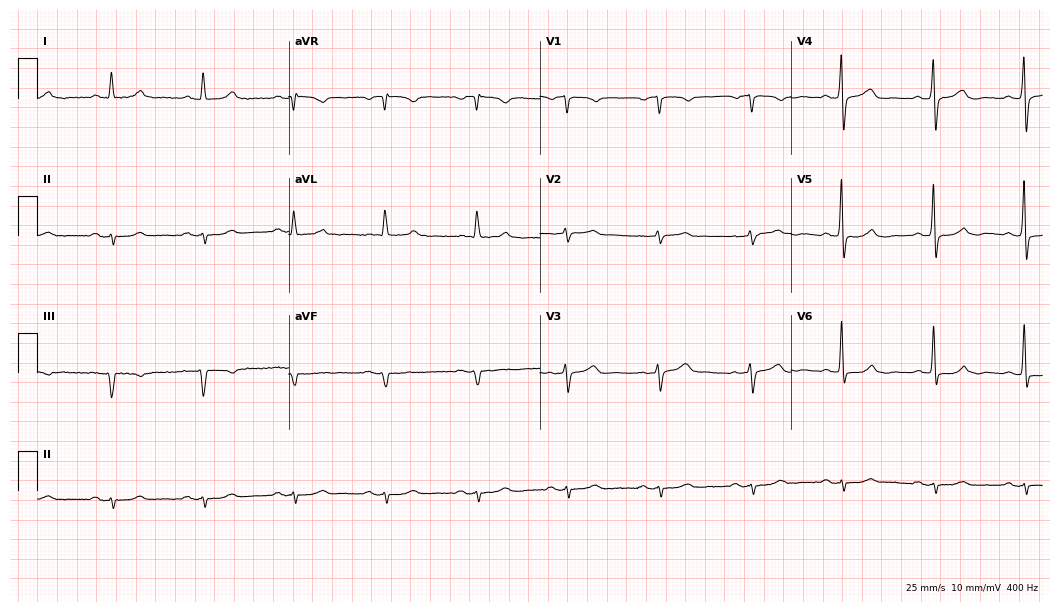
ECG (10.2-second recording at 400 Hz) — a male, 74 years old. Screened for six findings — first-degree AV block, right bundle branch block, left bundle branch block, sinus bradycardia, atrial fibrillation, sinus tachycardia — none is recorded. Findings outside these six are not listed.